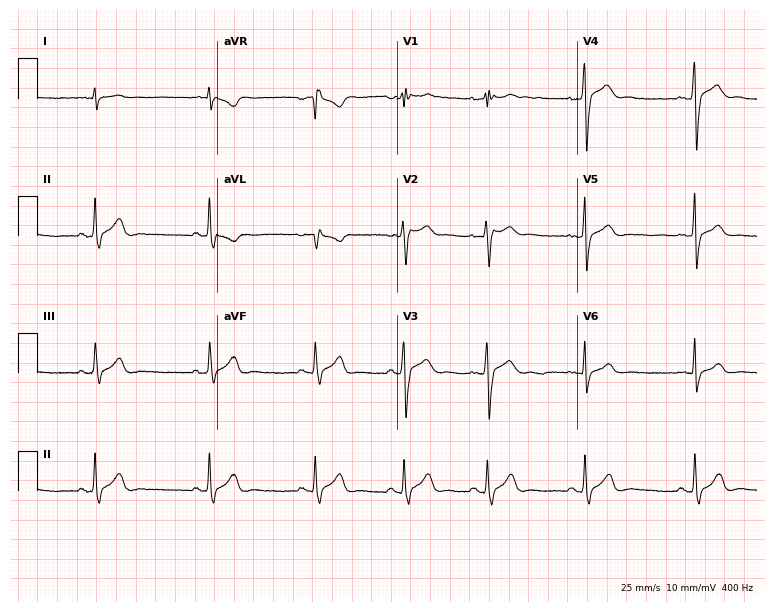
Electrocardiogram, a male patient, 23 years old. Overall reading on record: normal ECG.